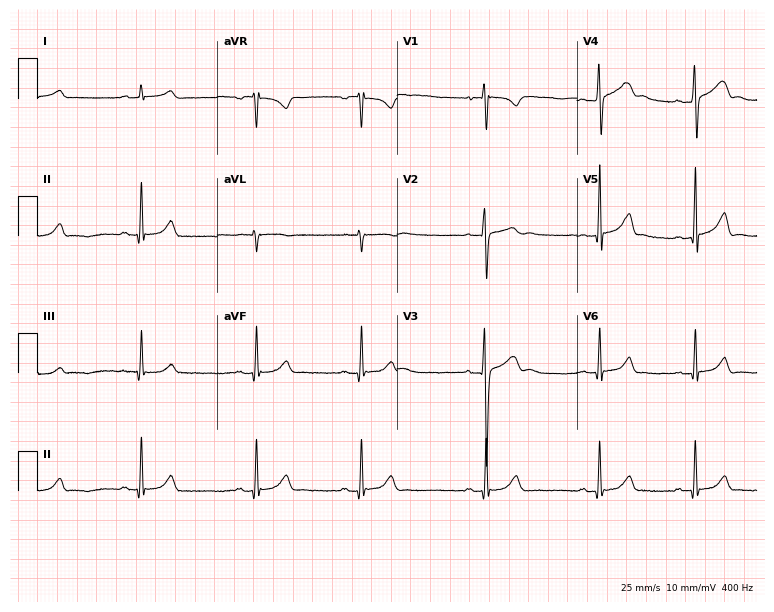
Electrocardiogram, a 17-year-old male patient. Overall reading on record: normal ECG.